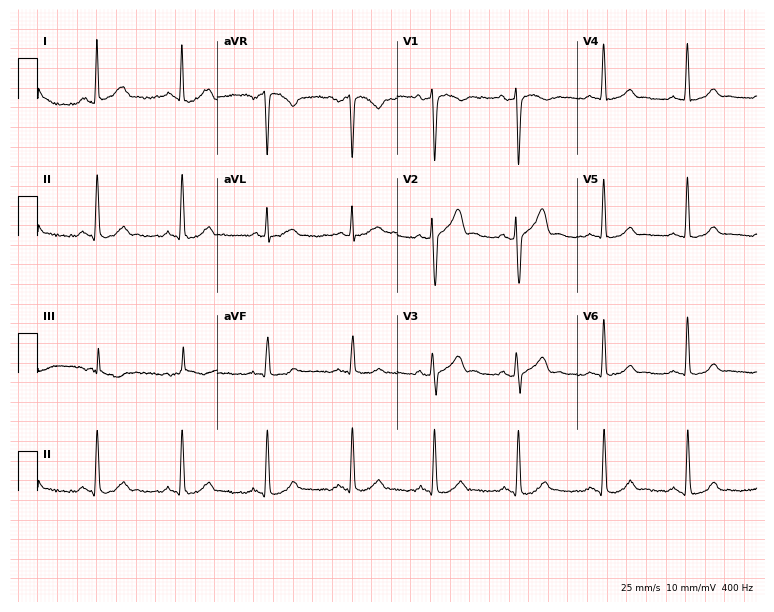
12-lead ECG from a 40-year-old male. Labelled as a normal ECG.